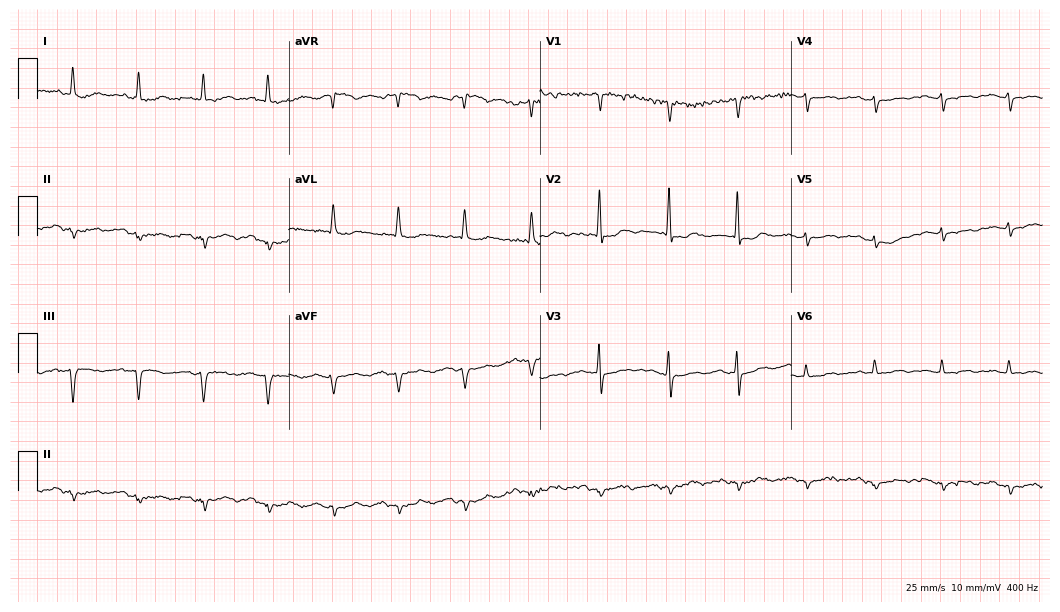
12-lead ECG from a female, 83 years old. No first-degree AV block, right bundle branch block, left bundle branch block, sinus bradycardia, atrial fibrillation or sinus tachycardia recorded for this tracing.